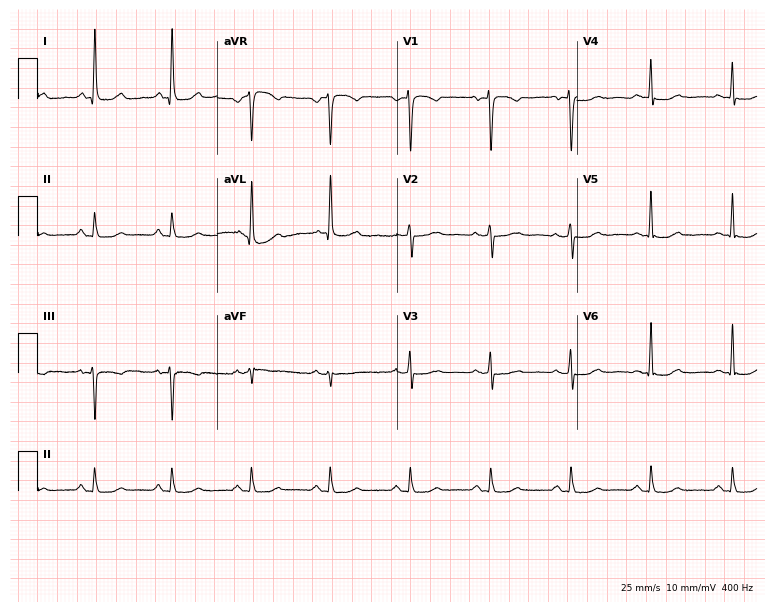
Electrocardiogram (7.3-second recording at 400 Hz), a woman, 55 years old. Overall reading on record: normal ECG.